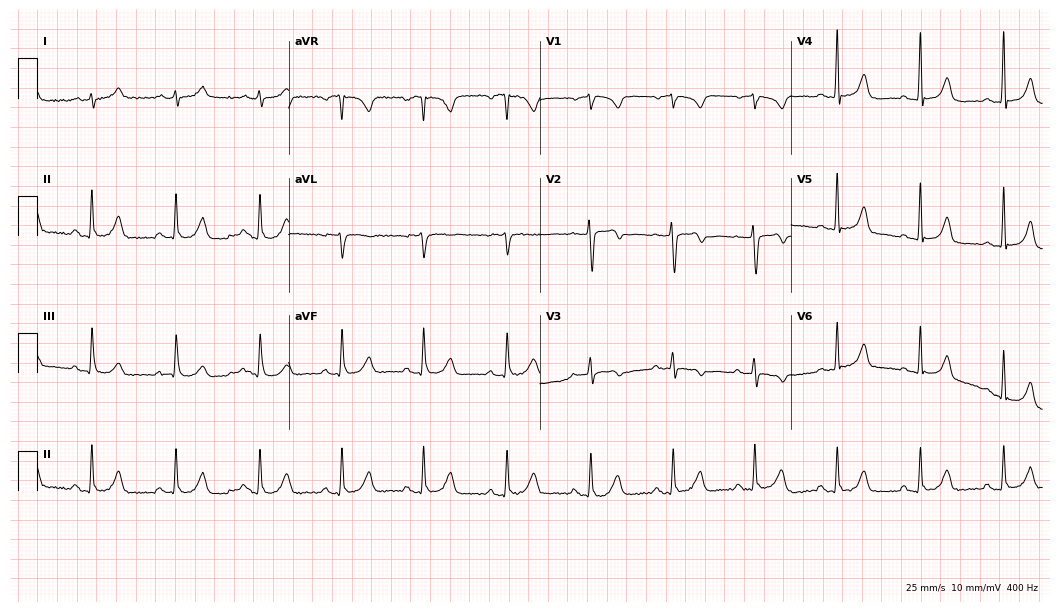
Electrocardiogram (10.2-second recording at 400 Hz), a male, 64 years old. Overall reading on record: normal ECG.